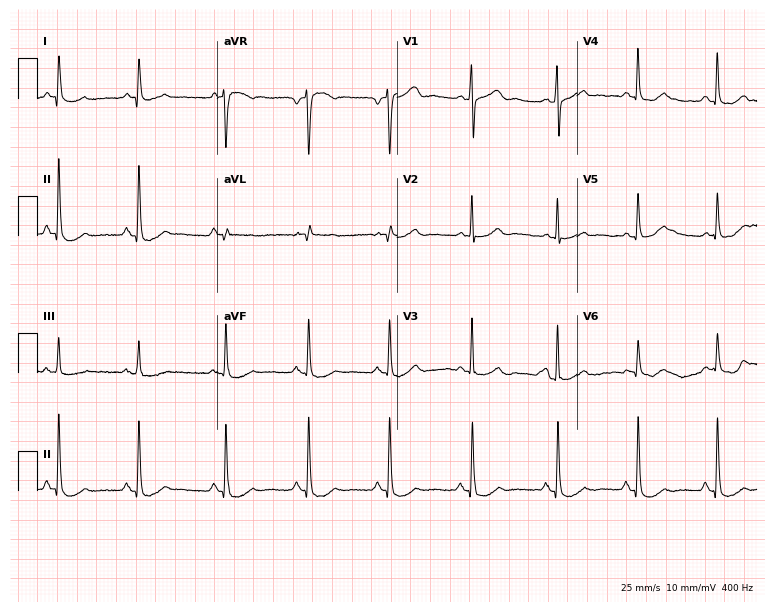
ECG — a 52-year-old male. Screened for six findings — first-degree AV block, right bundle branch block, left bundle branch block, sinus bradycardia, atrial fibrillation, sinus tachycardia — none is recorded. Other findings, if any, are not listed.